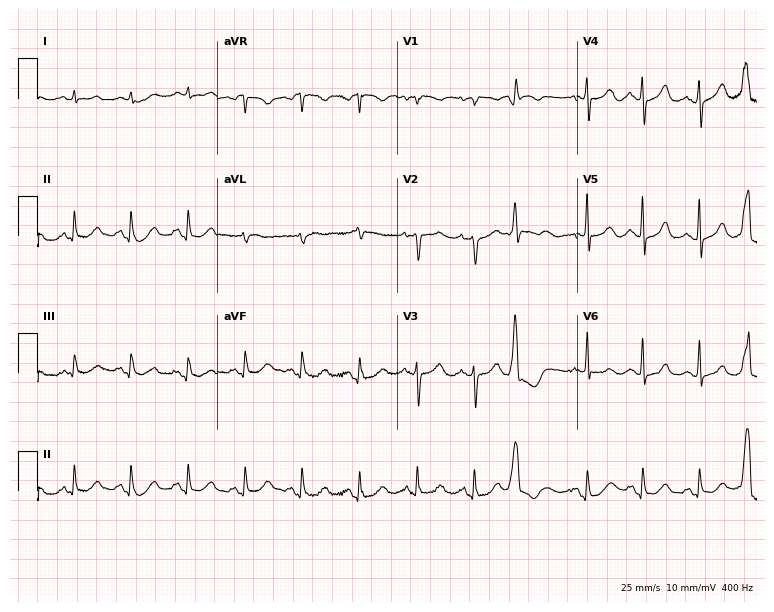
Electrocardiogram, a female, 72 years old. Interpretation includes sinus tachycardia (a sinus rate of 100 beats per minute or more).